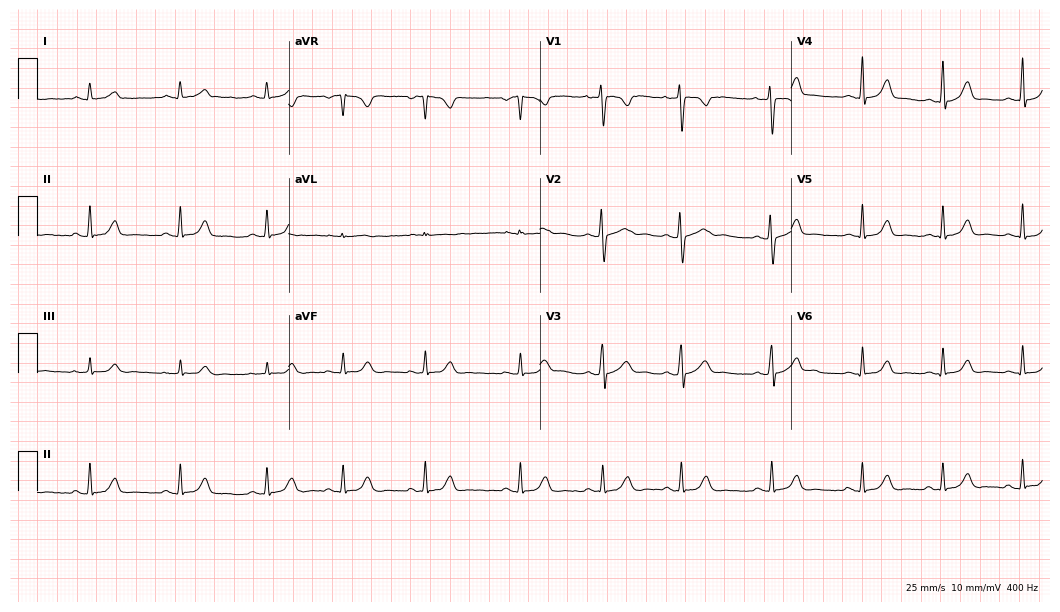
12-lead ECG from a 17-year-old female. Recorded interpretation: within normal limits.